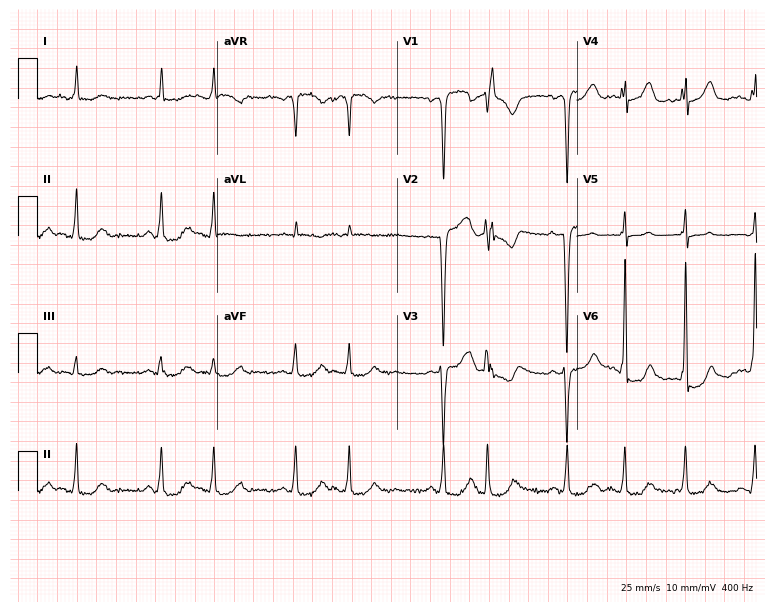
Resting 12-lead electrocardiogram. Patient: a female, 83 years old. None of these six findings is recorded: first-degree AV block, right bundle branch block (RBBB), left bundle branch block (LBBB), sinus bradycardia, atrial fibrillation (AF), sinus tachycardia.